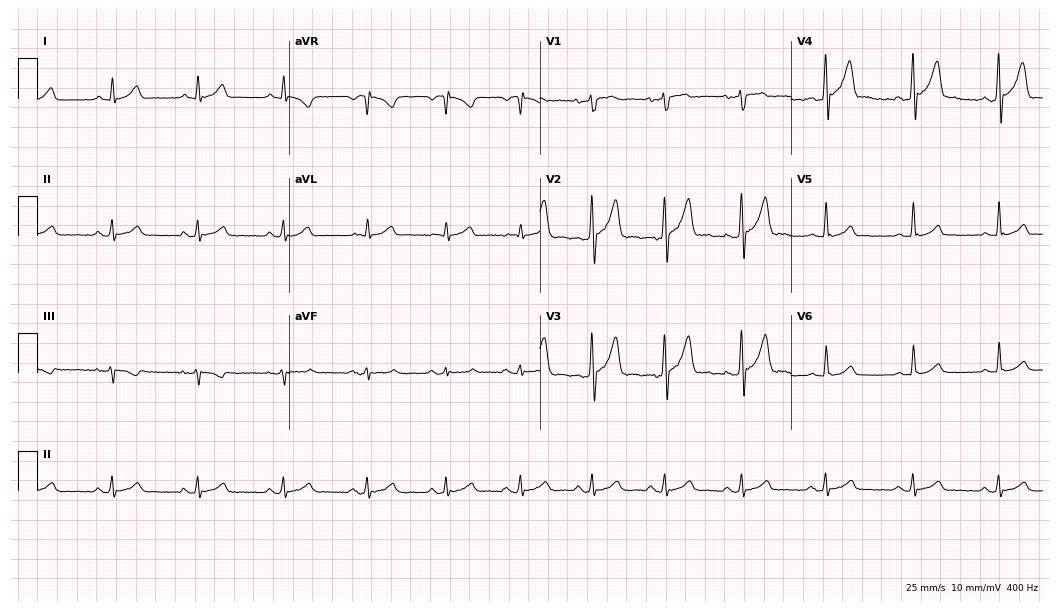
ECG (10.2-second recording at 400 Hz) — a 29-year-old male patient. Labelled as a normal ECG.